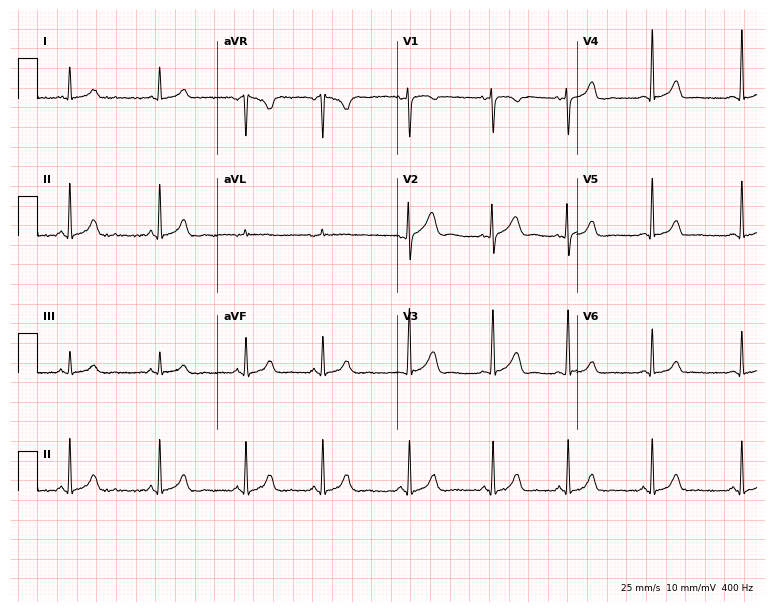
12-lead ECG from a female, 25 years old. Labelled as a normal ECG.